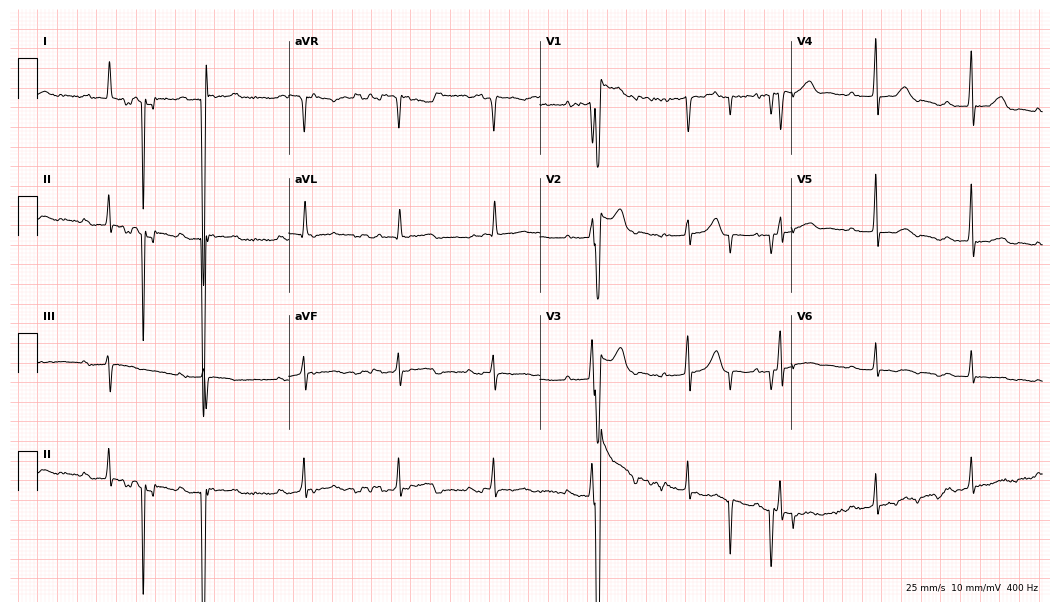
ECG (10.2-second recording at 400 Hz) — a female patient, 65 years old. Screened for six findings — first-degree AV block, right bundle branch block, left bundle branch block, sinus bradycardia, atrial fibrillation, sinus tachycardia — none is recorded.